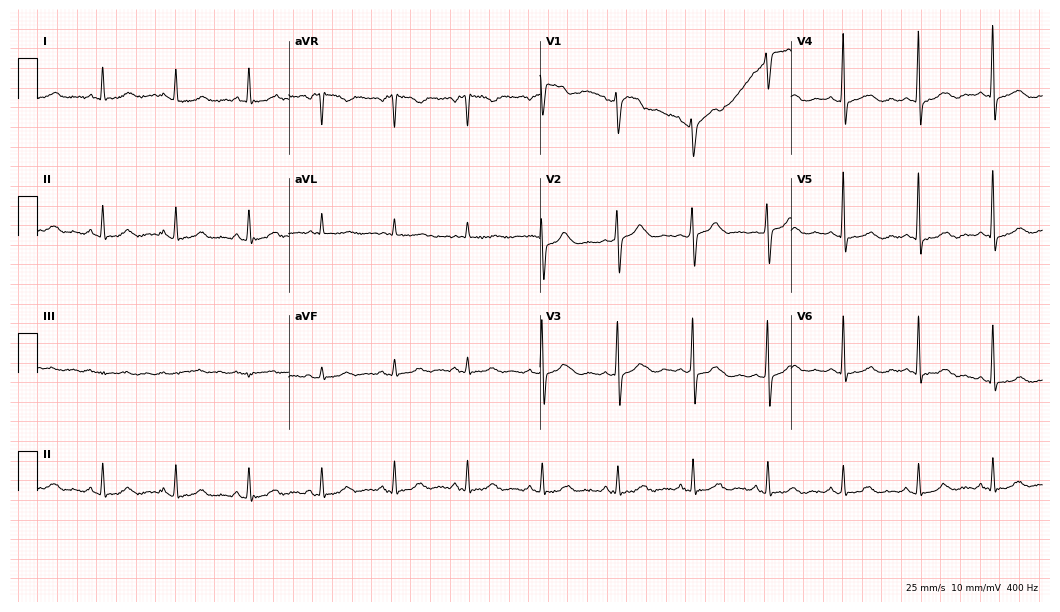
Standard 12-lead ECG recorded from a 64-year-old female patient (10.2-second recording at 400 Hz). Read as a normal ECG.